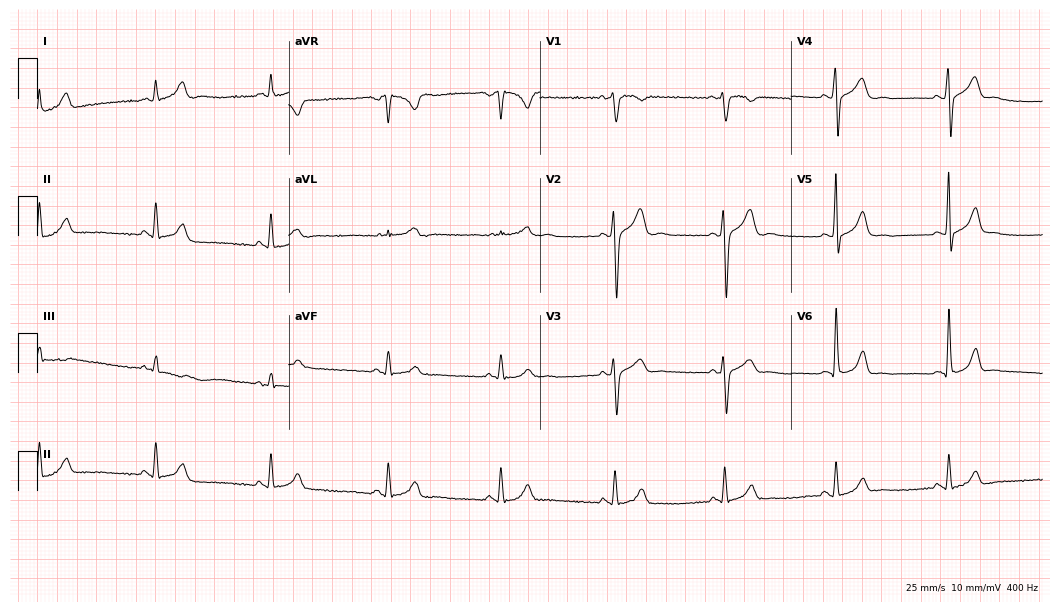
Resting 12-lead electrocardiogram. Patient: a man, 45 years old. Read as a normal ECG.